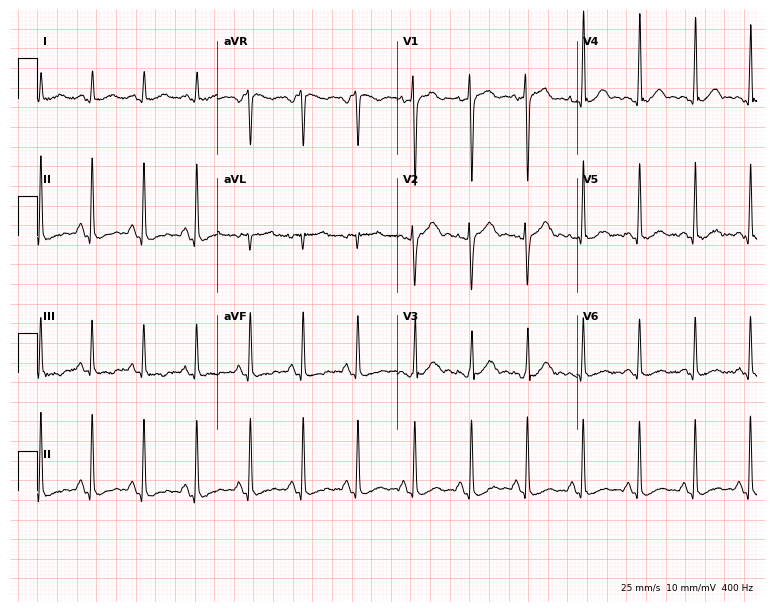
ECG (7.3-second recording at 400 Hz) — a male patient, 25 years old. Findings include sinus tachycardia (a sinus rate of 100 beats per minute or more).